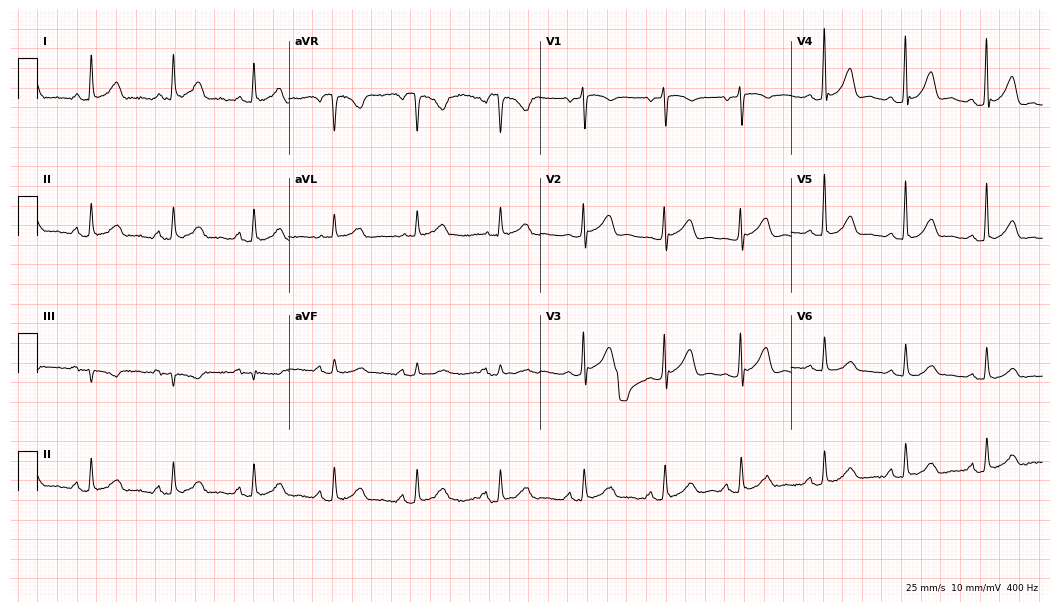
ECG — a 74-year-old female patient. Screened for six findings — first-degree AV block, right bundle branch block, left bundle branch block, sinus bradycardia, atrial fibrillation, sinus tachycardia — none is recorded.